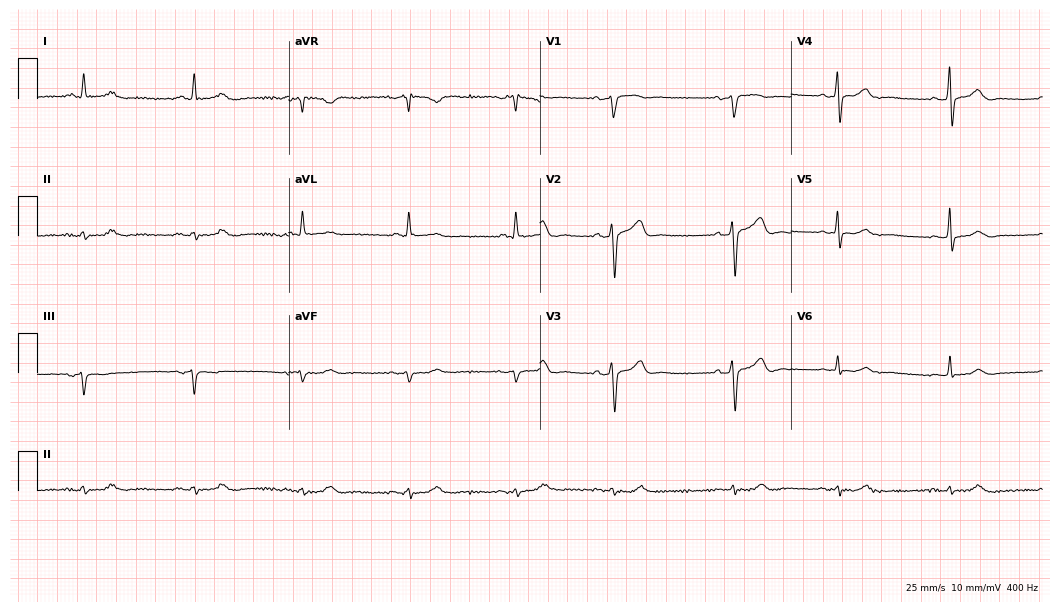
12-lead ECG (10.2-second recording at 400 Hz) from an 80-year-old man. Labelled as a normal ECG.